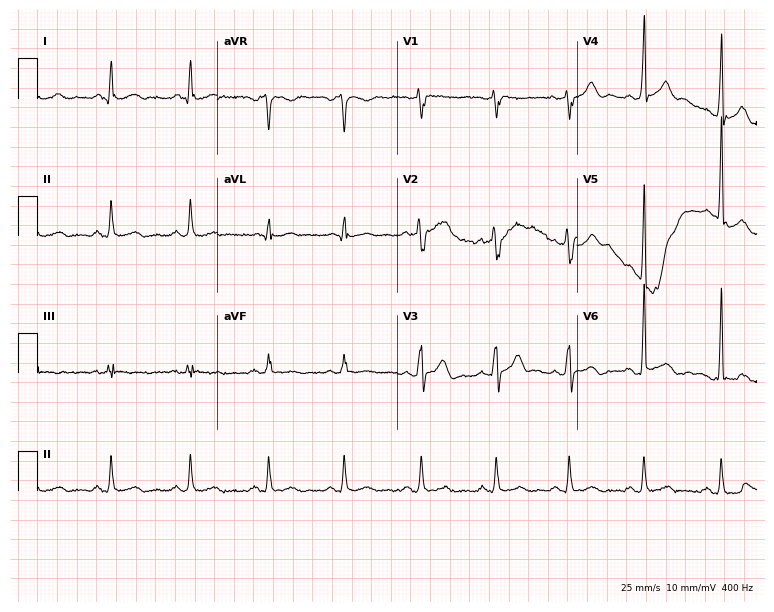
Resting 12-lead electrocardiogram (7.3-second recording at 400 Hz). Patient: a 41-year-old man. None of these six findings is recorded: first-degree AV block, right bundle branch block (RBBB), left bundle branch block (LBBB), sinus bradycardia, atrial fibrillation (AF), sinus tachycardia.